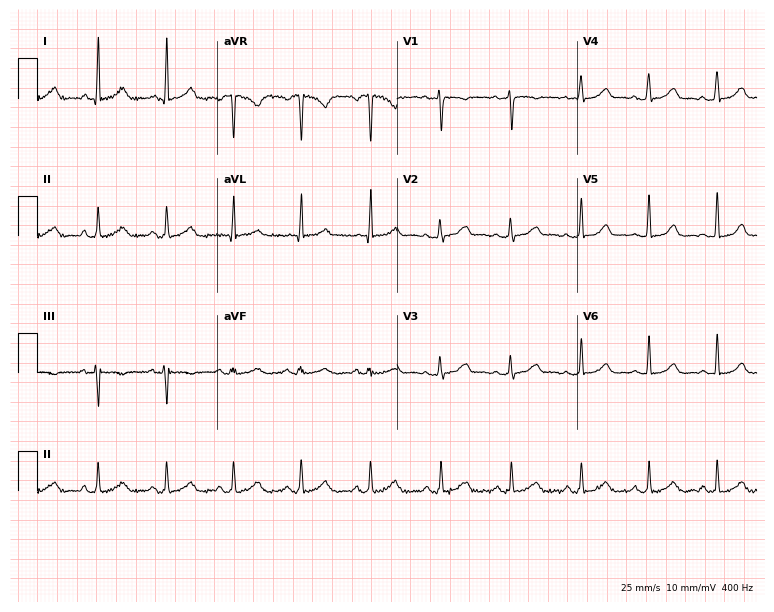
ECG (7.3-second recording at 400 Hz) — a woman, 51 years old. Screened for six findings — first-degree AV block, right bundle branch block, left bundle branch block, sinus bradycardia, atrial fibrillation, sinus tachycardia — none is recorded.